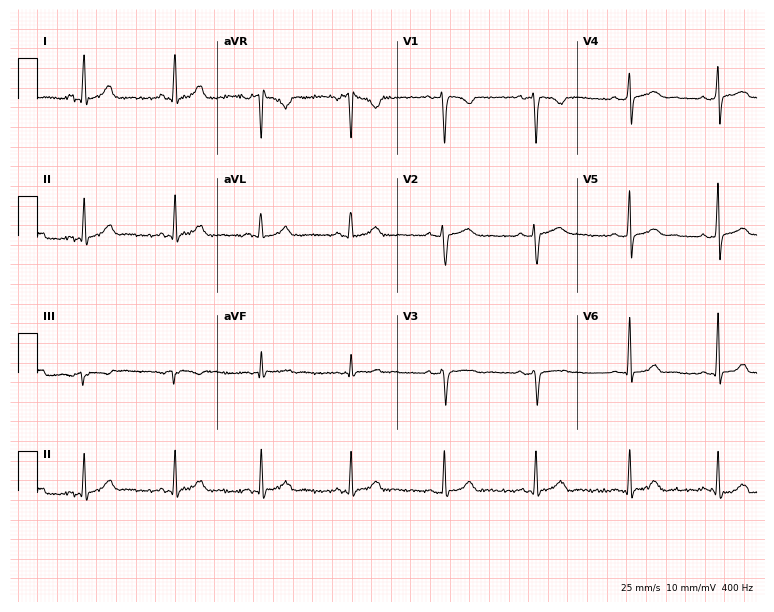
12-lead ECG (7.3-second recording at 400 Hz) from a 29-year-old male. Screened for six findings — first-degree AV block, right bundle branch block, left bundle branch block, sinus bradycardia, atrial fibrillation, sinus tachycardia — none is recorded.